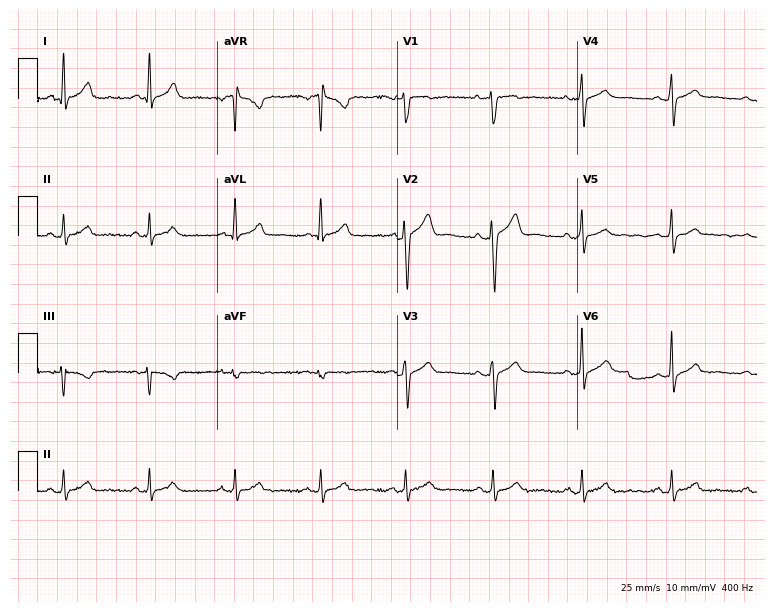
12-lead ECG from a 32-year-old male patient. No first-degree AV block, right bundle branch block (RBBB), left bundle branch block (LBBB), sinus bradycardia, atrial fibrillation (AF) or sinus tachycardia recorded for this tracing. Only these six findings were labelled.